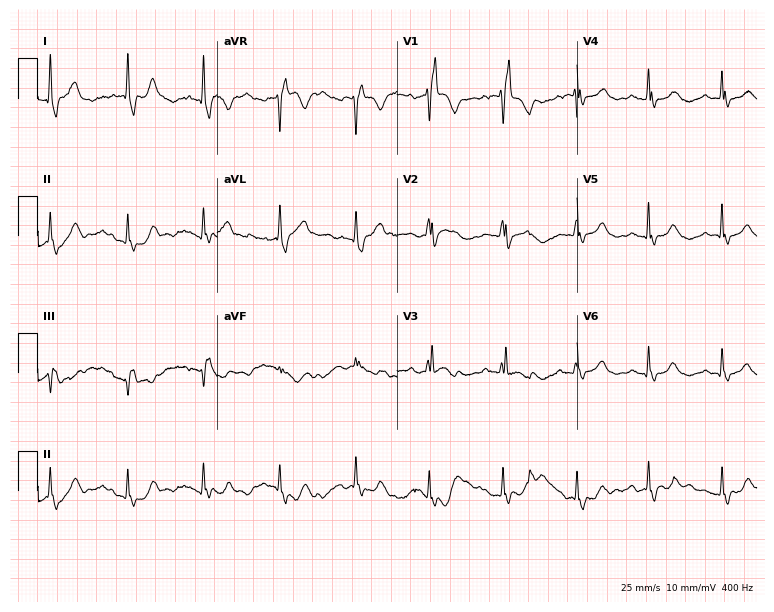
12-lead ECG (7.3-second recording at 400 Hz) from a female patient, 66 years old. Findings include right bundle branch block (RBBB).